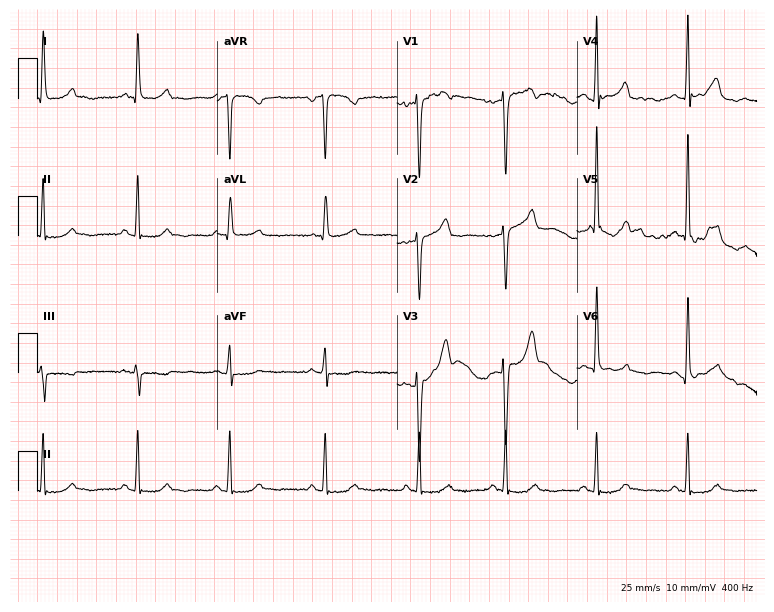
Electrocardiogram (7.3-second recording at 400 Hz), a 41-year-old woman. Of the six screened findings (first-degree AV block, right bundle branch block, left bundle branch block, sinus bradycardia, atrial fibrillation, sinus tachycardia), none is recorded. Findings outside these six are not listed.